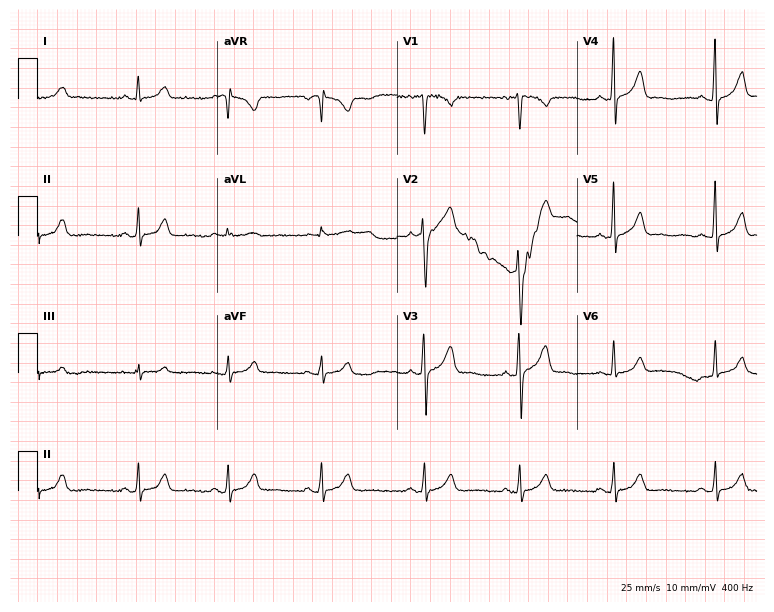
Resting 12-lead electrocardiogram (7.3-second recording at 400 Hz). Patient: a male, 32 years old. None of these six findings is recorded: first-degree AV block, right bundle branch block, left bundle branch block, sinus bradycardia, atrial fibrillation, sinus tachycardia.